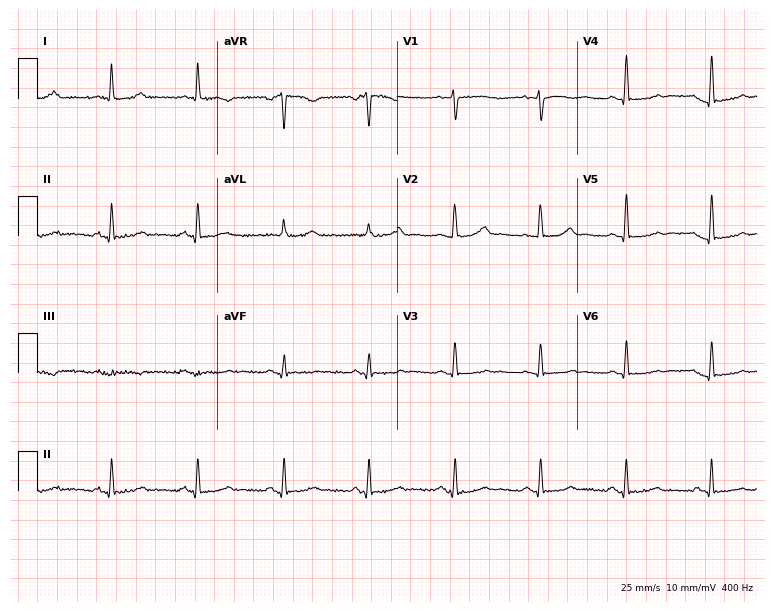
Resting 12-lead electrocardiogram (7.3-second recording at 400 Hz). Patient: a 68-year-old female. None of these six findings is recorded: first-degree AV block, right bundle branch block, left bundle branch block, sinus bradycardia, atrial fibrillation, sinus tachycardia.